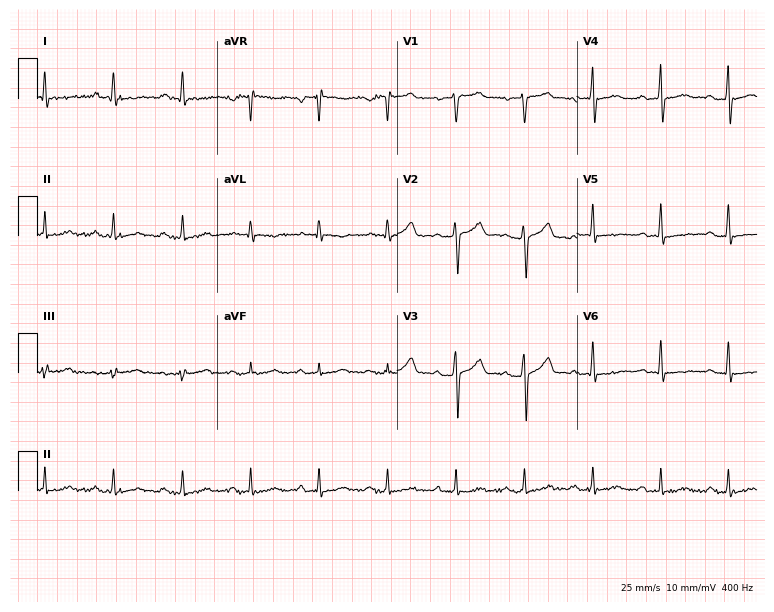
ECG (7.3-second recording at 400 Hz) — a 43-year-old male. Screened for six findings — first-degree AV block, right bundle branch block, left bundle branch block, sinus bradycardia, atrial fibrillation, sinus tachycardia — none is recorded. Only these six findings were labelled.